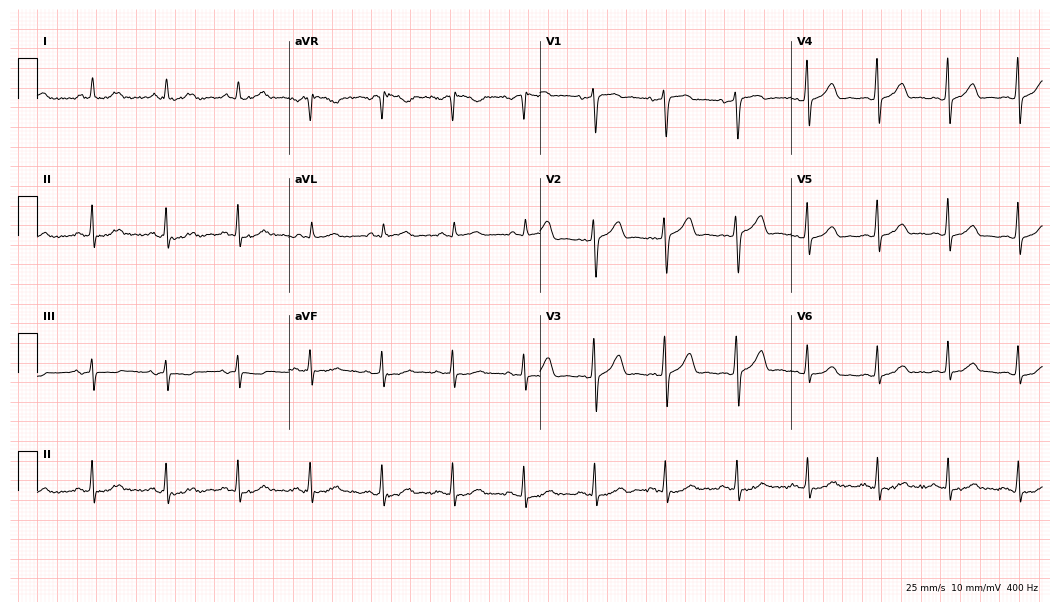
12-lead ECG from a female patient, 44 years old. Labelled as a normal ECG.